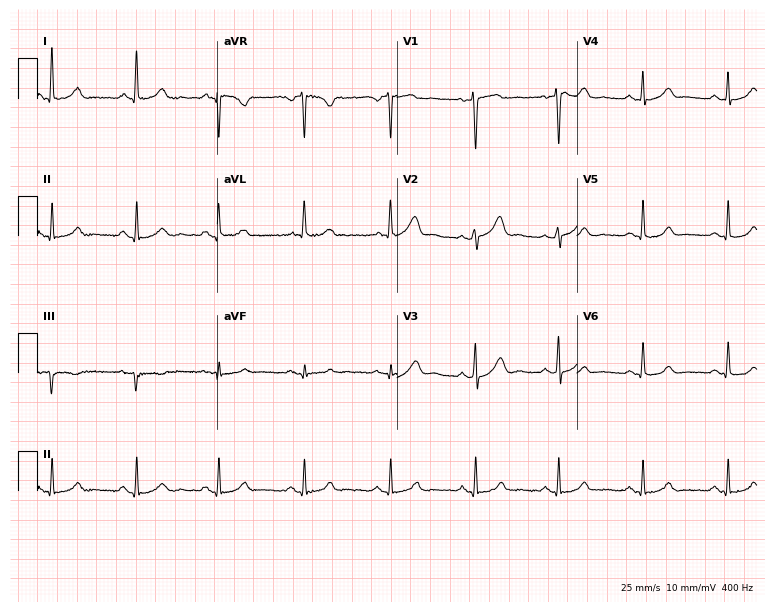
Resting 12-lead electrocardiogram (7.3-second recording at 400 Hz). Patient: a woman, 52 years old. None of these six findings is recorded: first-degree AV block, right bundle branch block, left bundle branch block, sinus bradycardia, atrial fibrillation, sinus tachycardia. Findings outside these six are not listed.